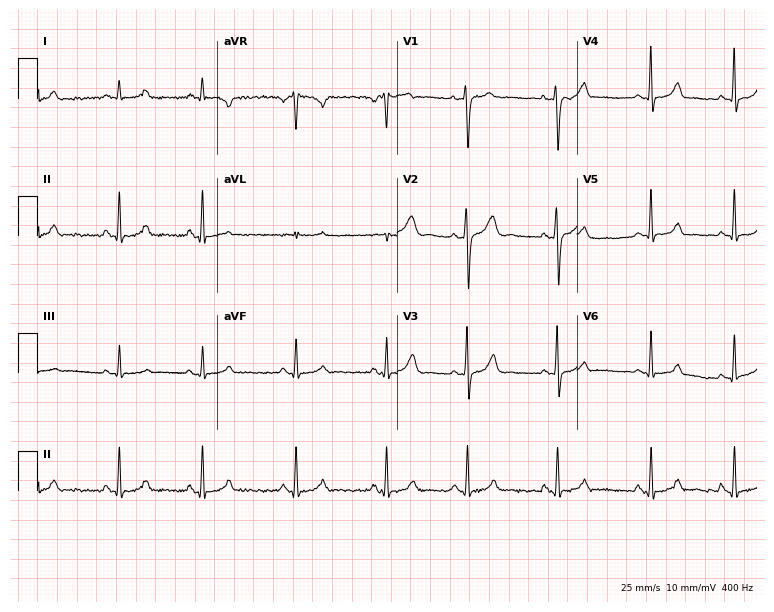
Electrocardiogram, a female patient, 37 years old. Of the six screened findings (first-degree AV block, right bundle branch block (RBBB), left bundle branch block (LBBB), sinus bradycardia, atrial fibrillation (AF), sinus tachycardia), none is recorded.